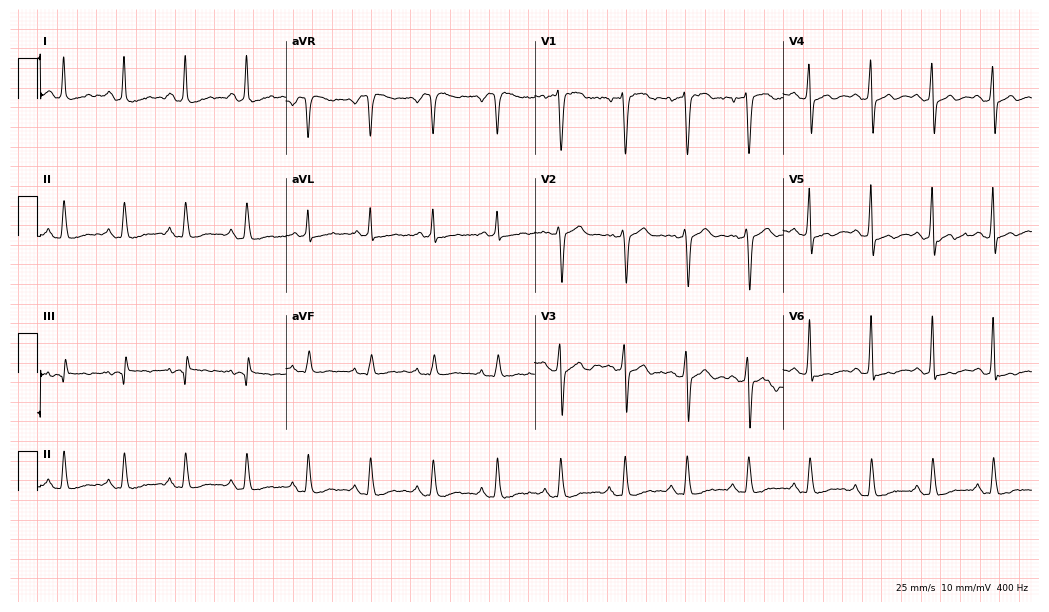
Standard 12-lead ECG recorded from a male patient, 52 years old. None of these six findings is recorded: first-degree AV block, right bundle branch block, left bundle branch block, sinus bradycardia, atrial fibrillation, sinus tachycardia.